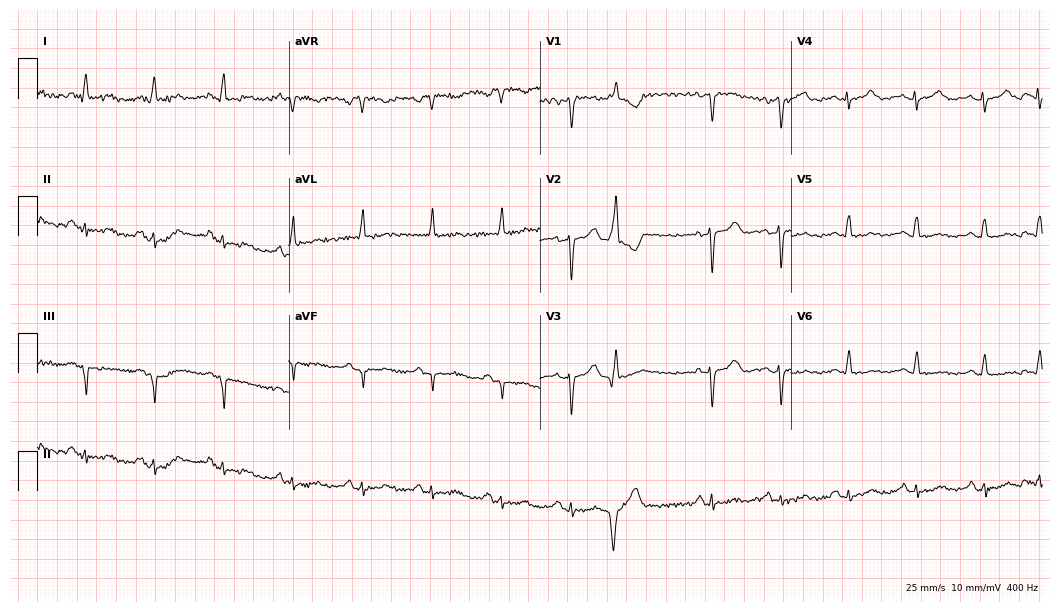
Resting 12-lead electrocardiogram. Patient: a 68-year-old woman. None of these six findings is recorded: first-degree AV block, right bundle branch block, left bundle branch block, sinus bradycardia, atrial fibrillation, sinus tachycardia.